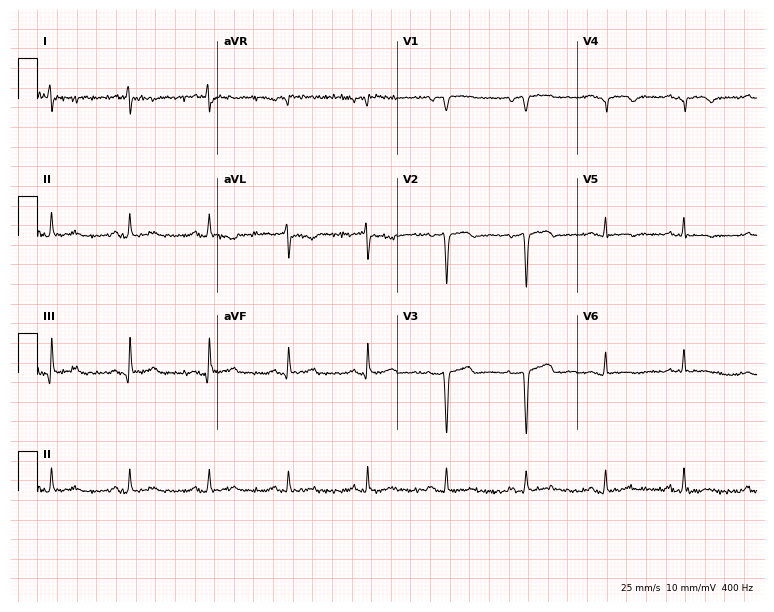
Electrocardiogram, a female patient, 71 years old. Of the six screened findings (first-degree AV block, right bundle branch block (RBBB), left bundle branch block (LBBB), sinus bradycardia, atrial fibrillation (AF), sinus tachycardia), none is recorded.